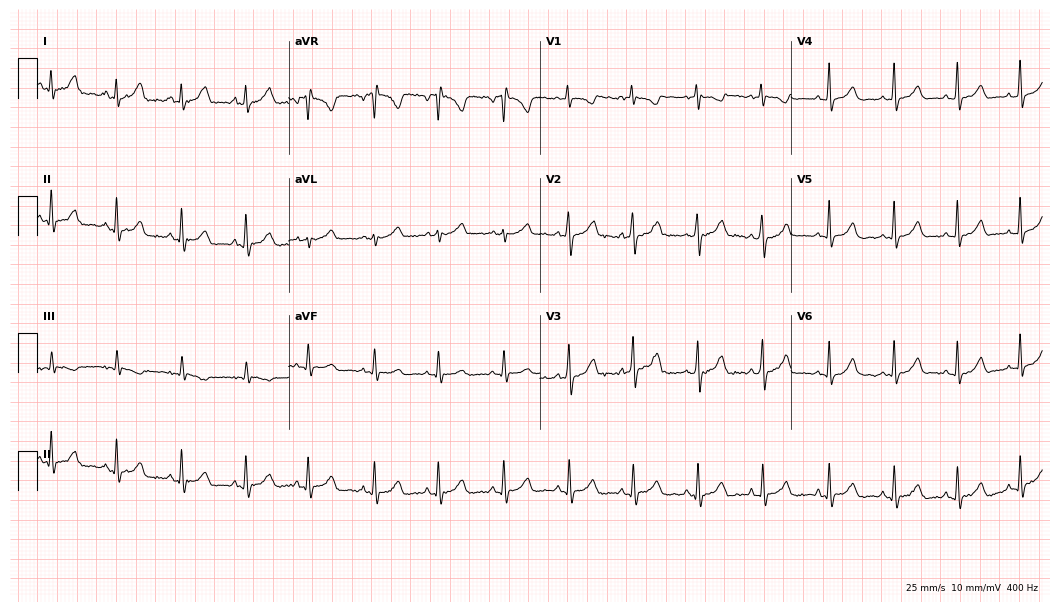
Resting 12-lead electrocardiogram (10.2-second recording at 400 Hz). Patient: a woman, 20 years old. Read as a normal ECG.